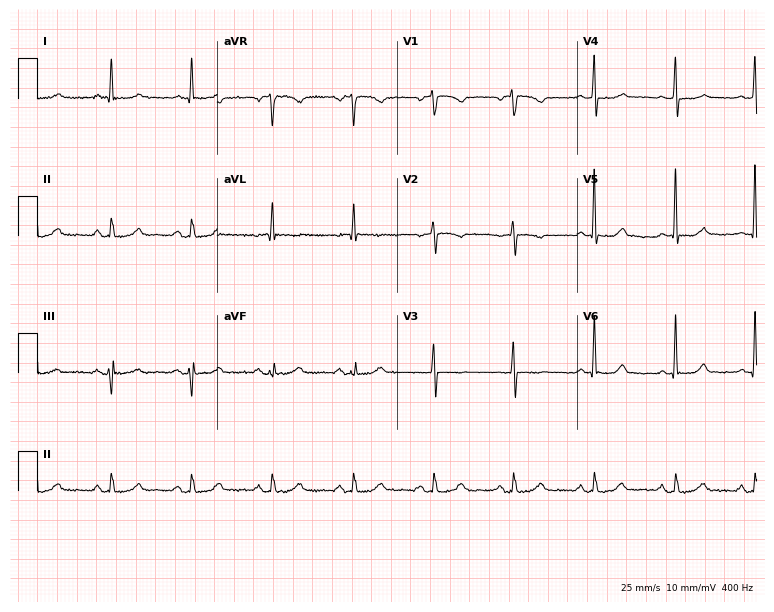
Standard 12-lead ECG recorded from a female patient, 70 years old (7.3-second recording at 400 Hz). Read as a normal ECG.